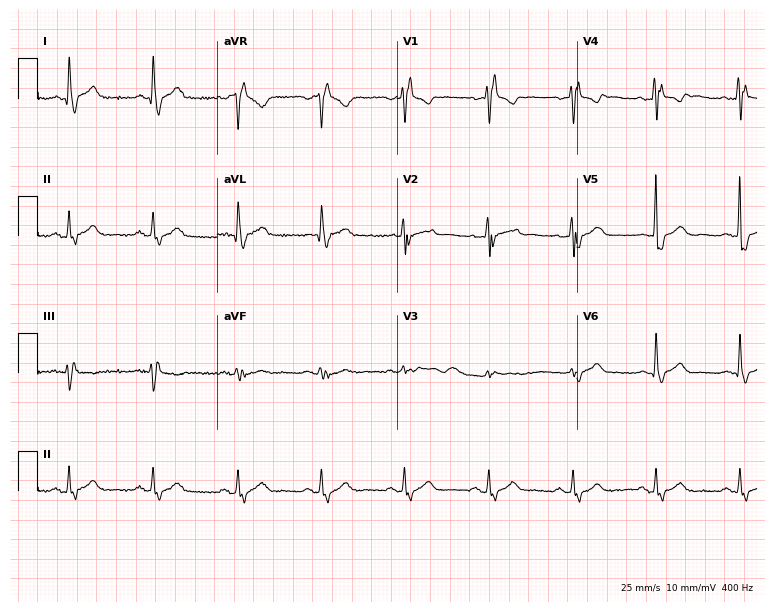
Standard 12-lead ECG recorded from a 55-year-old male patient. The tracing shows right bundle branch block.